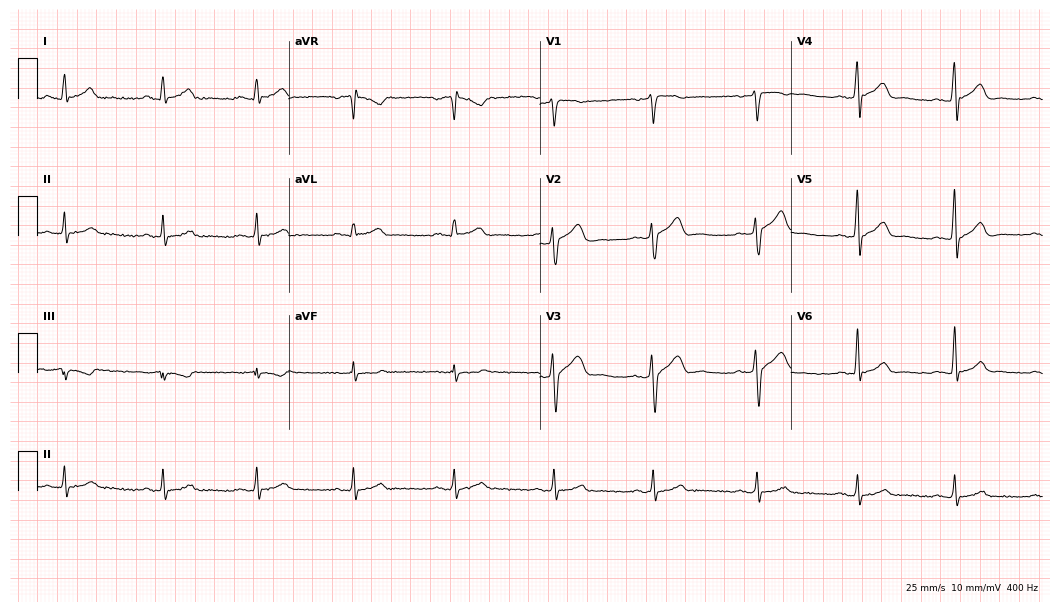
ECG (10.2-second recording at 400 Hz) — a 52-year-old male patient. Labelled as a normal ECG.